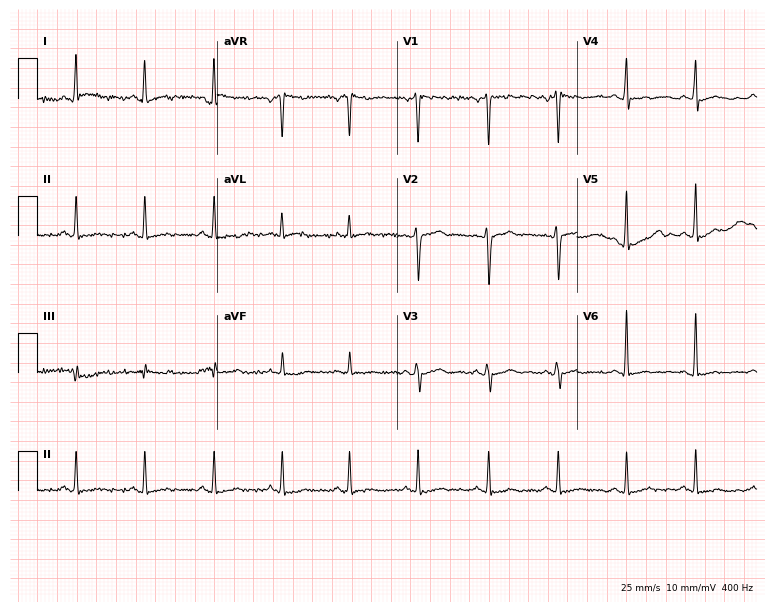
Resting 12-lead electrocardiogram (7.3-second recording at 400 Hz). Patient: a man, 34 years old. None of these six findings is recorded: first-degree AV block, right bundle branch block, left bundle branch block, sinus bradycardia, atrial fibrillation, sinus tachycardia.